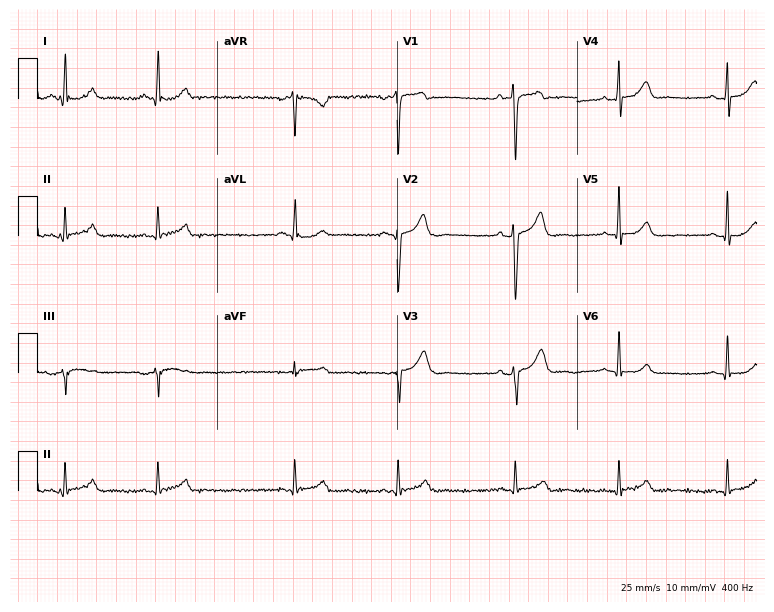
Standard 12-lead ECG recorded from a male patient, 33 years old (7.3-second recording at 400 Hz). Read as a normal ECG.